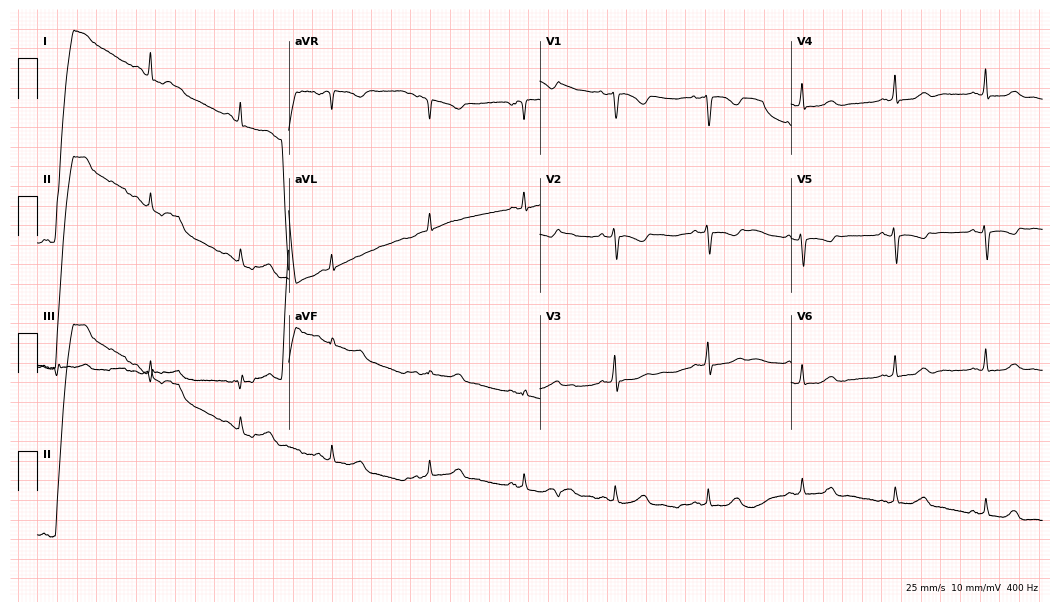
12-lead ECG (10.2-second recording at 400 Hz) from a woman, 49 years old. Screened for six findings — first-degree AV block, right bundle branch block, left bundle branch block, sinus bradycardia, atrial fibrillation, sinus tachycardia — none is recorded.